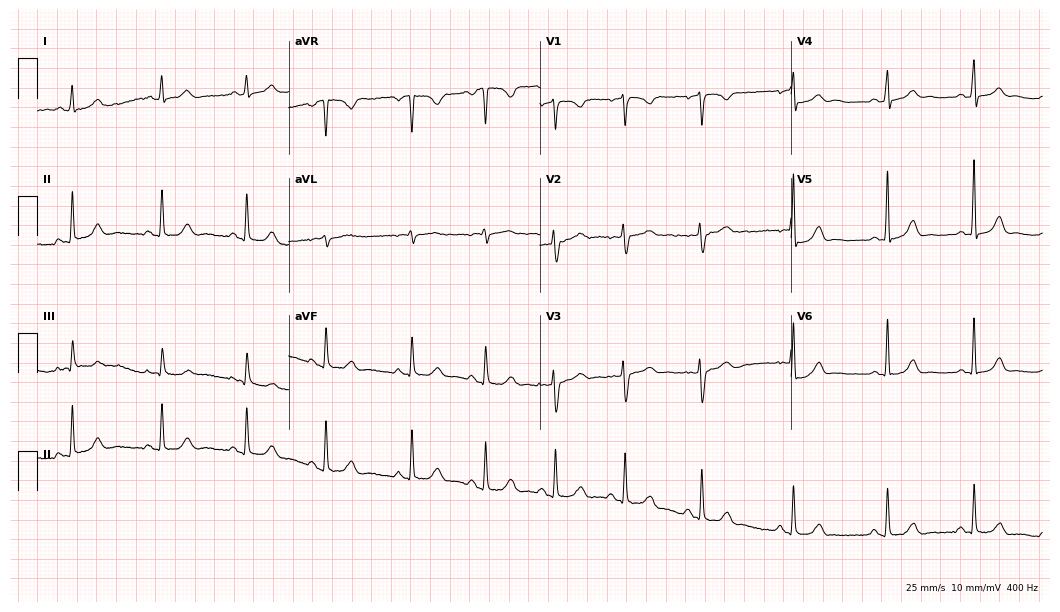
ECG — a 22-year-old woman. Labelled as a normal ECG.